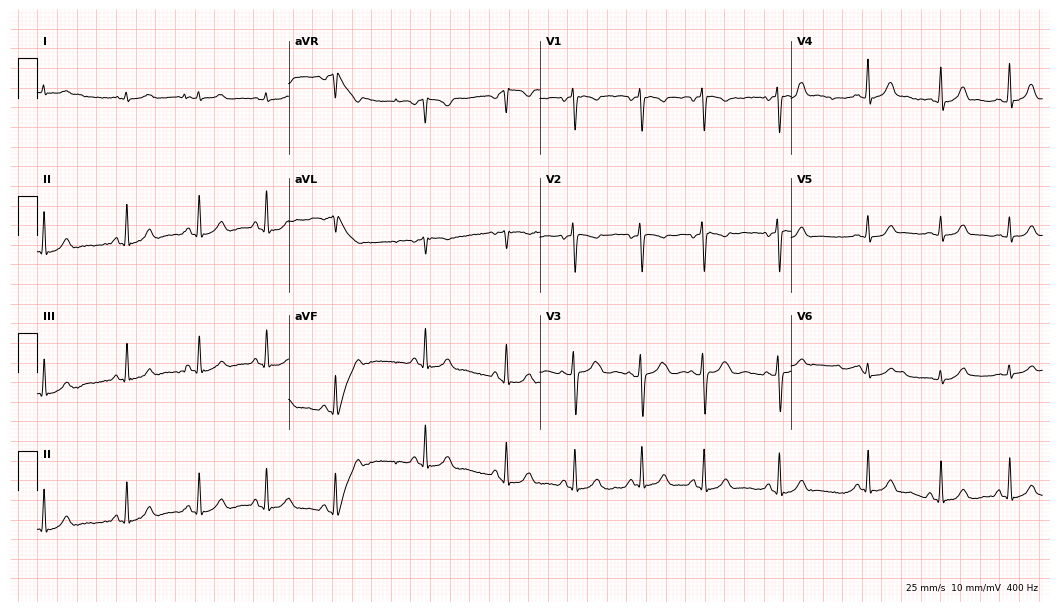
12-lead ECG from a woman, 18 years old. Recorded interpretation: within normal limits.